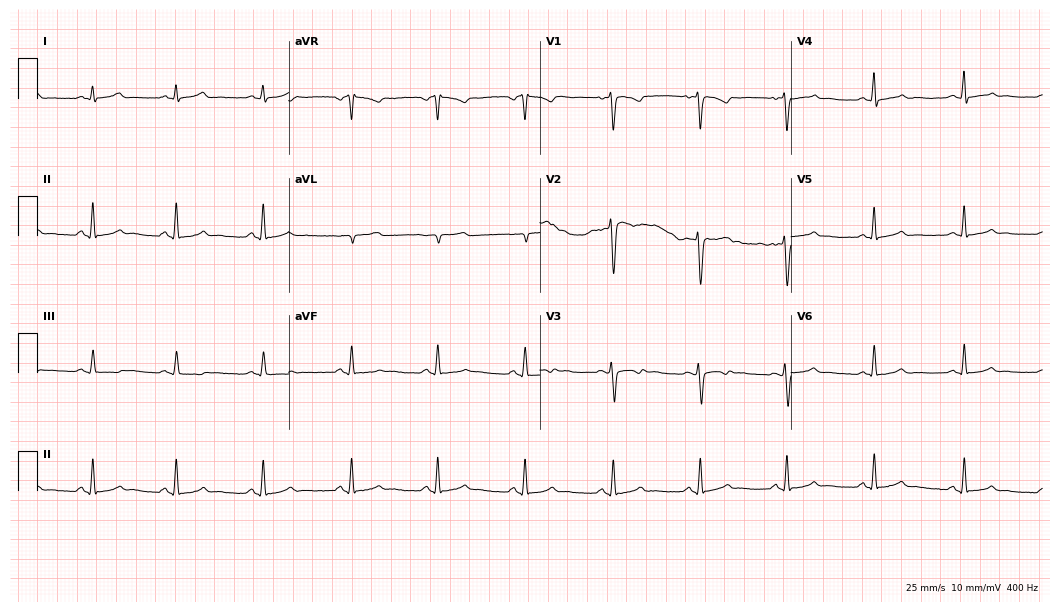
ECG (10.2-second recording at 400 Hz) — a 29-year-old female. Screened for six findings — first-degree AV block, right bundle branch block, left bundle branch block, sinus bradycardia, atrial fibrillation, sinus tachycardia — none is recorded. Findings outside these six are not listed.